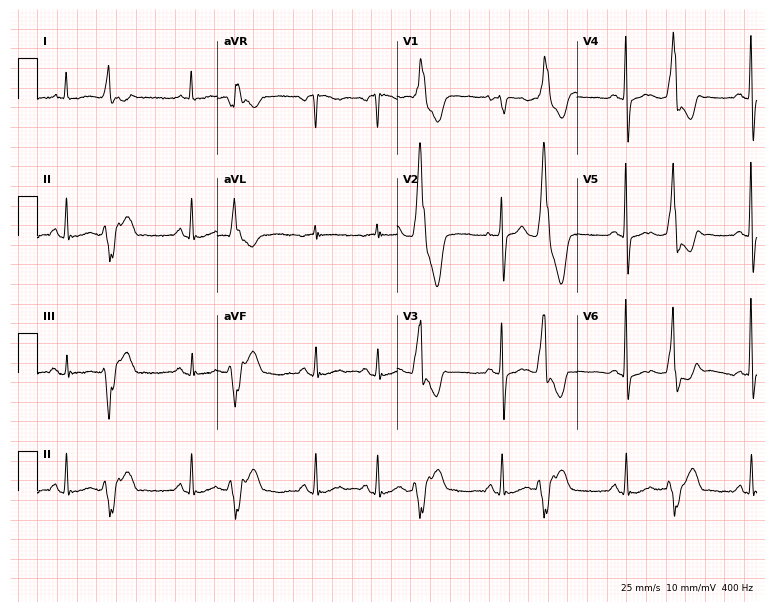
12-lead ECG from a male patient, 75 years old. No first-degree AV block, right bundle branch block (RBBB), left bundle branch block (LBBB), sinus bradycardia, atrial fibrillation (AF) or sinus tachycardia recorded for this tracing.